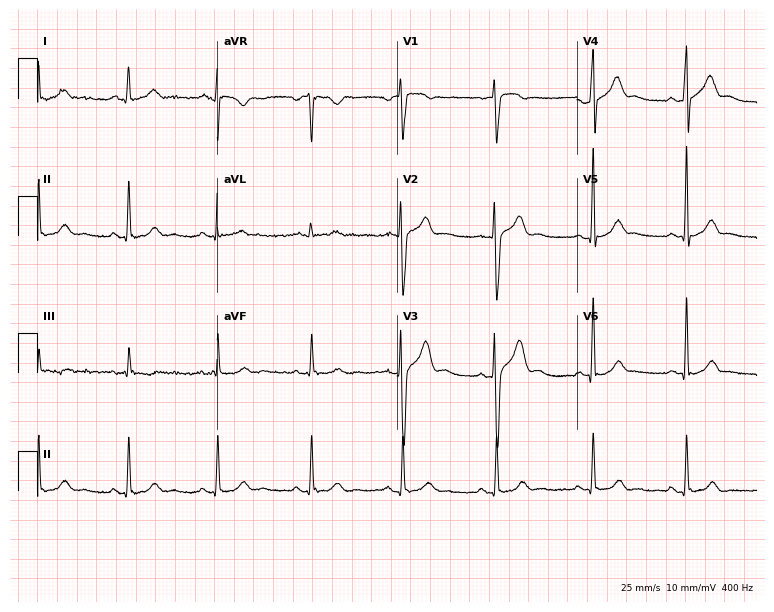
ECG (7.3-second recording at 400 Hz) — a man, 36 years old. Labelled as a normal ECG.